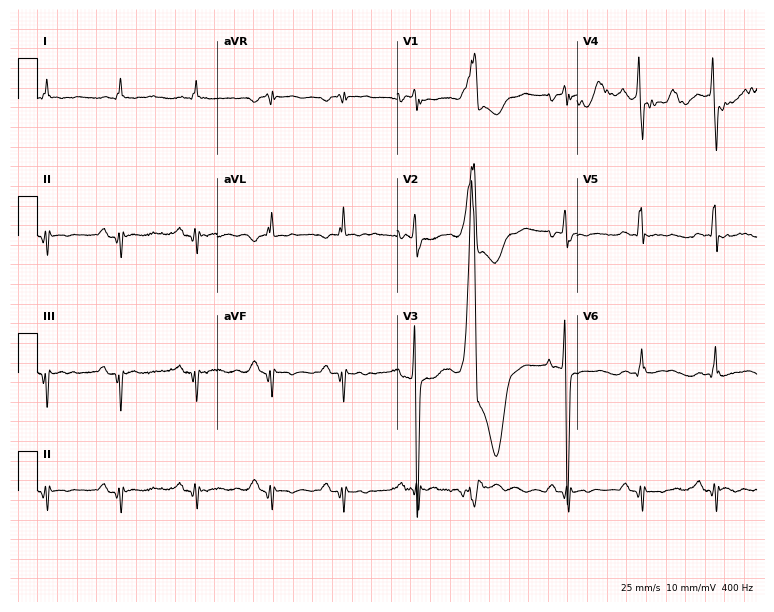
Electrocardiogram (7.3-second recording at 400 Hz), a male patient, 54 years old. Overall reading on record: normal ECG.